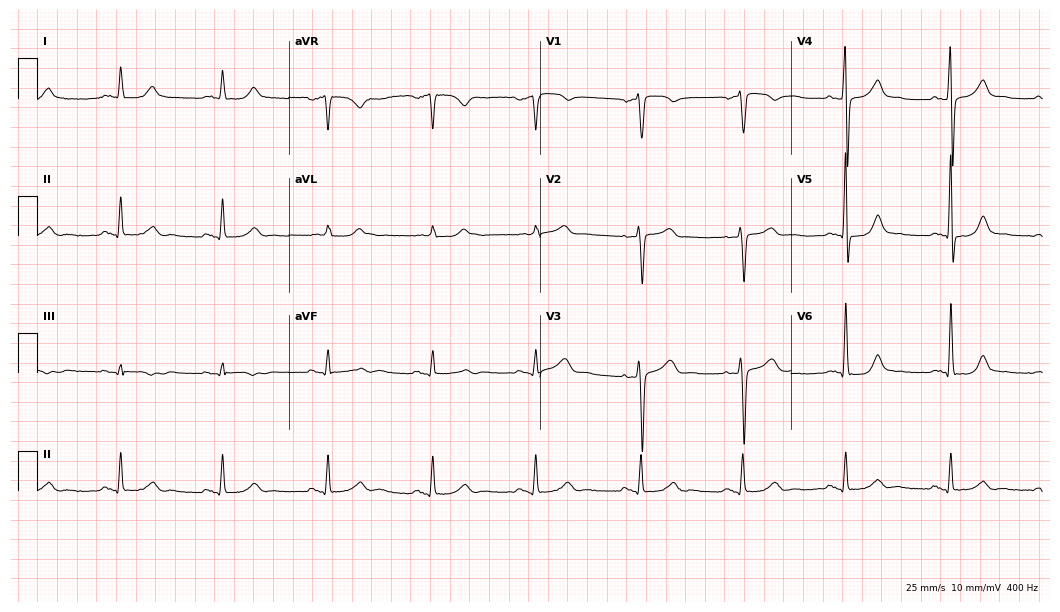
Resting 12-lead electrocardiogram. Patient: a 60-year-old man. None of these six findings is recorded: first-degree AV block, right bundle branch block, left bundle branch block, sinus bradycardia, atrial fibrillation, sinus tachycardia.